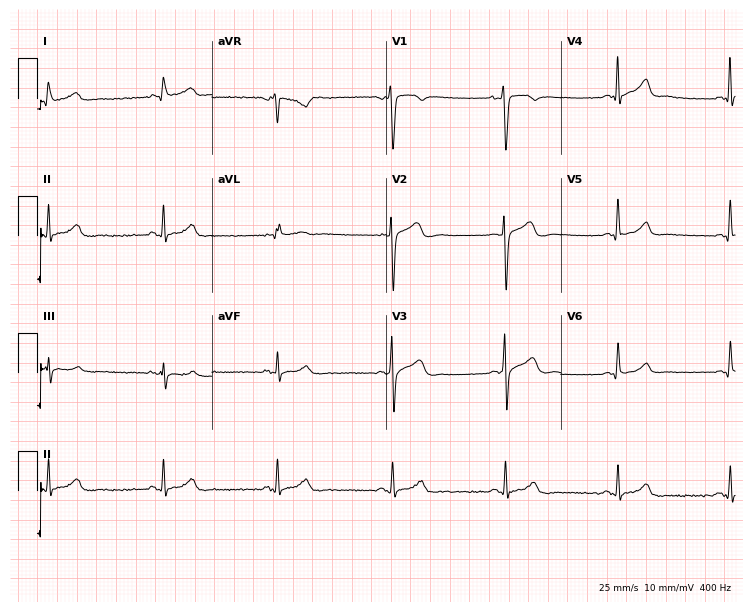
12-lead ECG from a 29-year-old male patient. Labelled as a normal ECG.